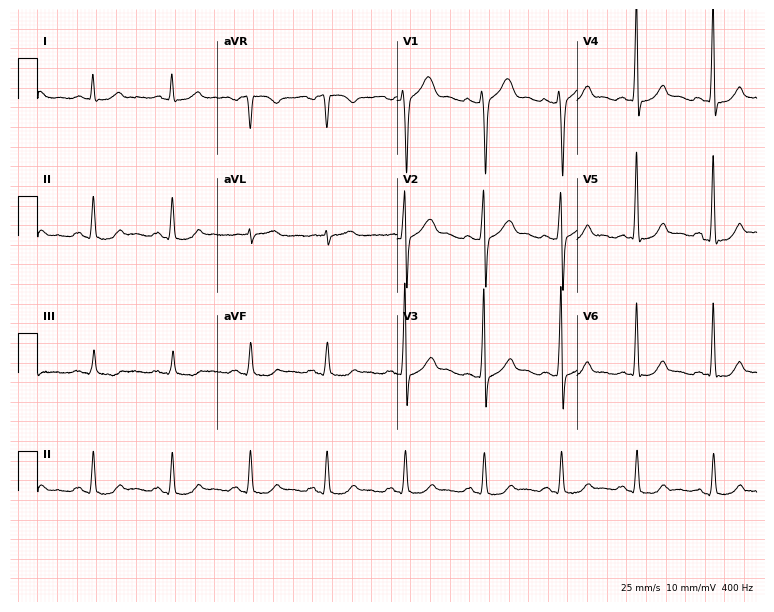
12-lead ECG from a male, 48 years old. Recorded interpretation: within normal limits.